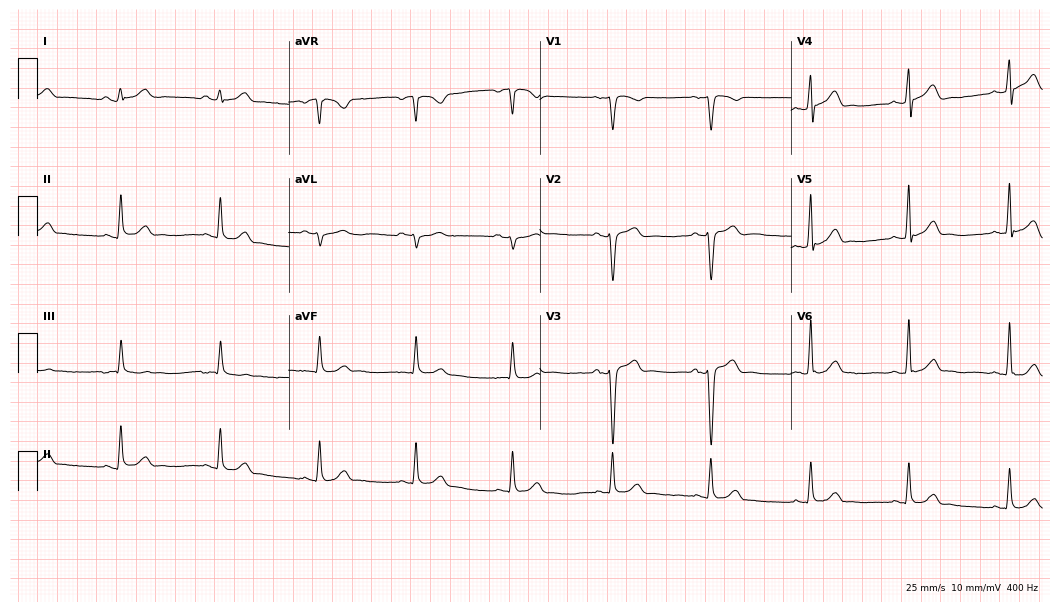
Electrocardiogram (10.2-second recording at 400 Hz), a male patient, 27 years old. Overall reading on record: normal ECG.